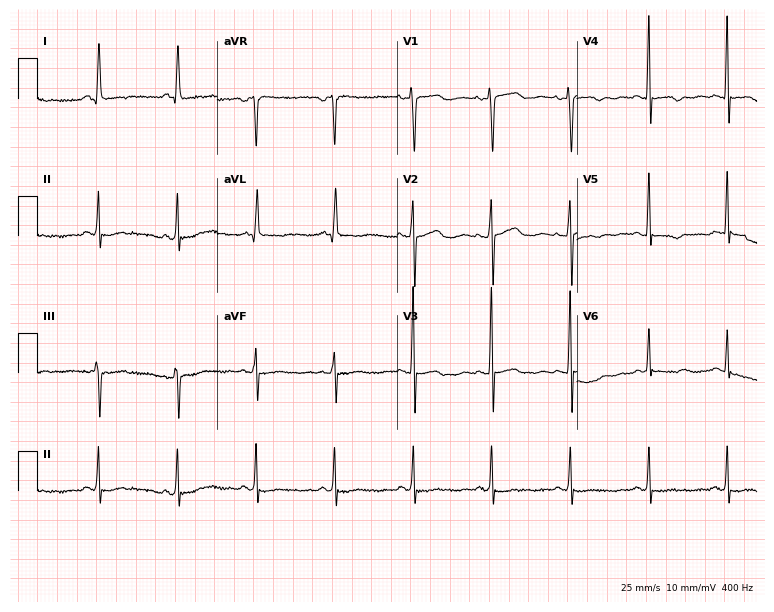
12-lead ECG from a female, 47 years old. No first-degree AV block, right bundle branch block, left bundle branch block, sinus bradycardia, atrial fibrillation or sinus tachycardia recorded for this tracing.